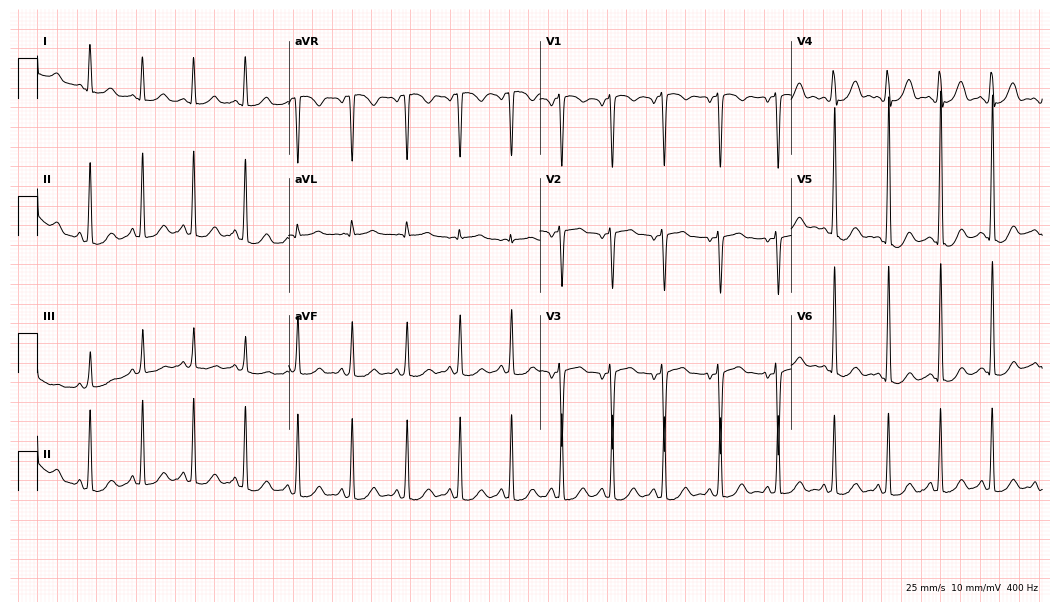
Standard 12-lead ECG recorded from a 35-year-old female patient (10.2-second recording at 400 Hz). None of these six findings is recorded: first-degree AV block, right bundle branch block (RBBB), left bundle branch block (LBBB), sinus bradycardia, atrial fibrillation (AF), sinus tachycardia. Only these six findings were labelled.